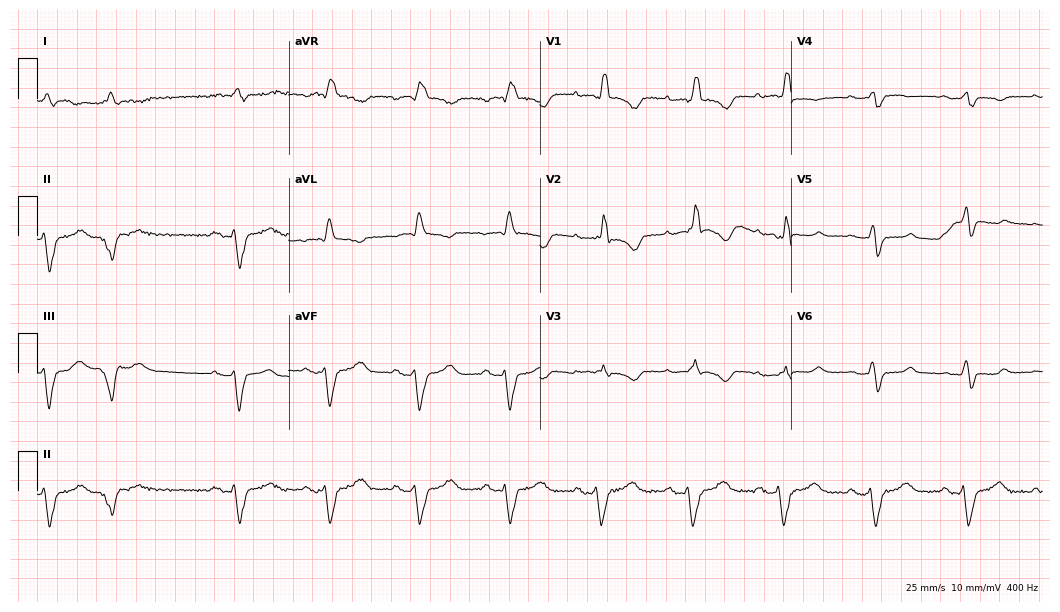
Electrocardiogram (10.2-second recording at 400 Hz), a female patient, 77 years old. Interpretation includes right bundle branch block.